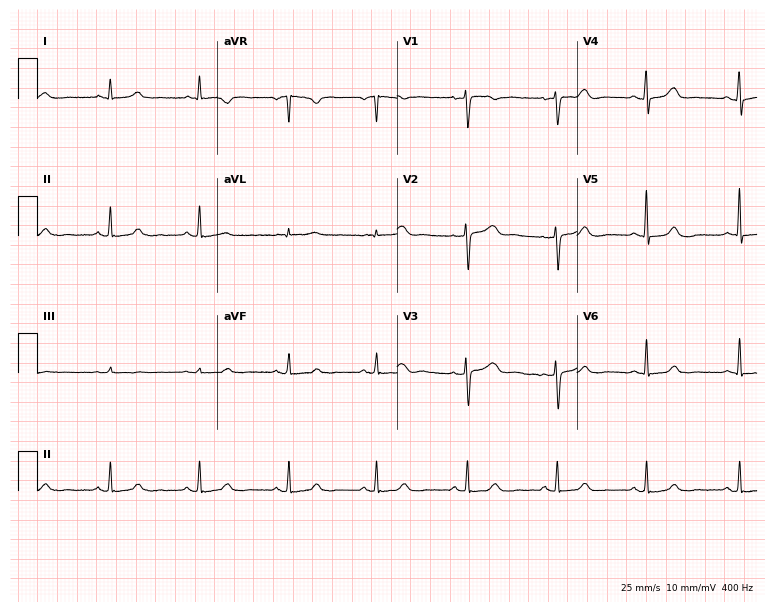
Electrocardiogram, a 58-year-old female. Overall reading on record: normal ECG.